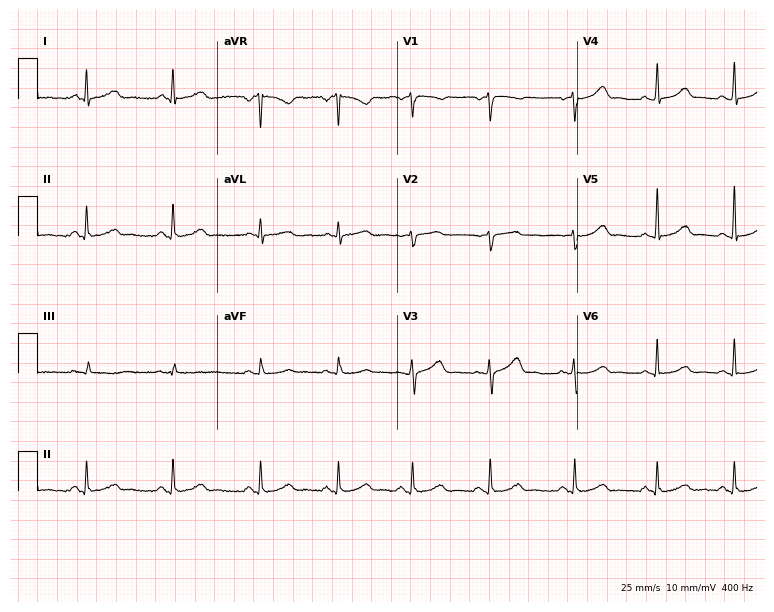
ECG — a female, 42 years old. Labelled as a normal ECG.